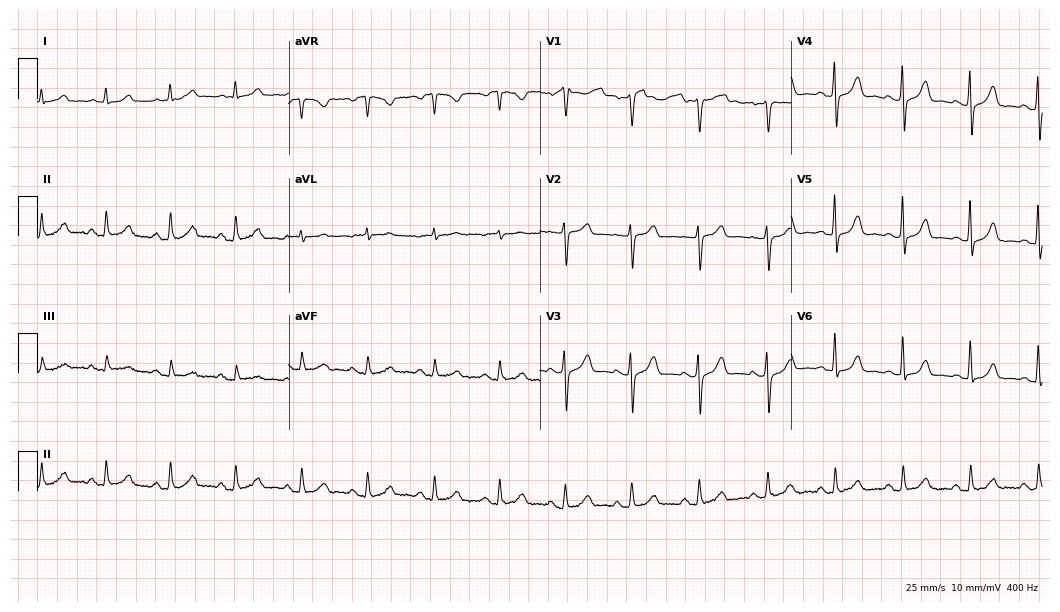
12-lead ECG (10.2-second recording at 400 Hz) from a female, 67 years old. Labelled as a normal ECG.